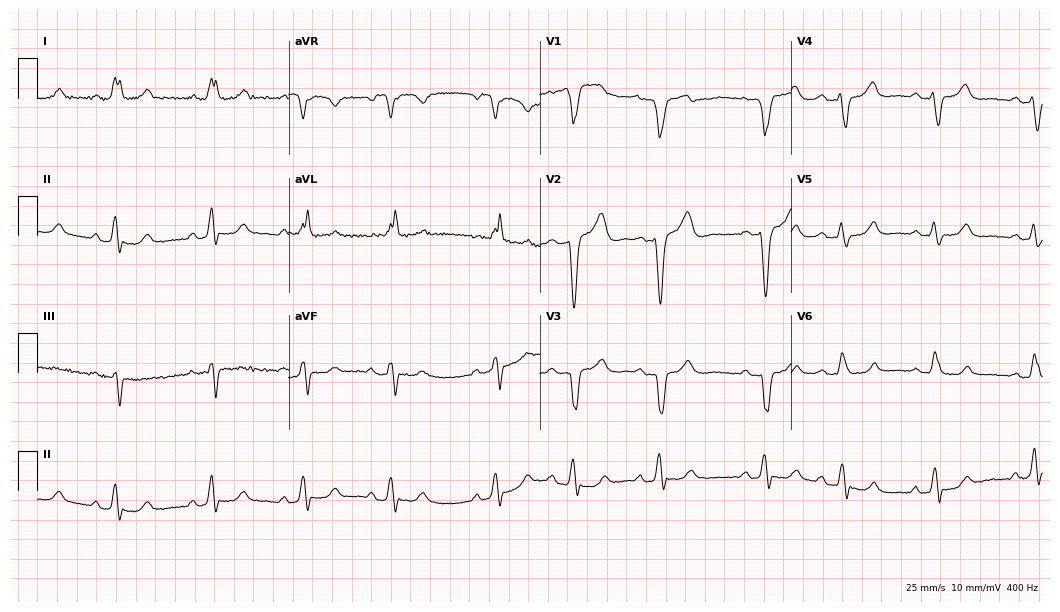
ECG (10.2-second recording at 400 Hz) — a woman, 73 years old. Findings include left bundle branch block.